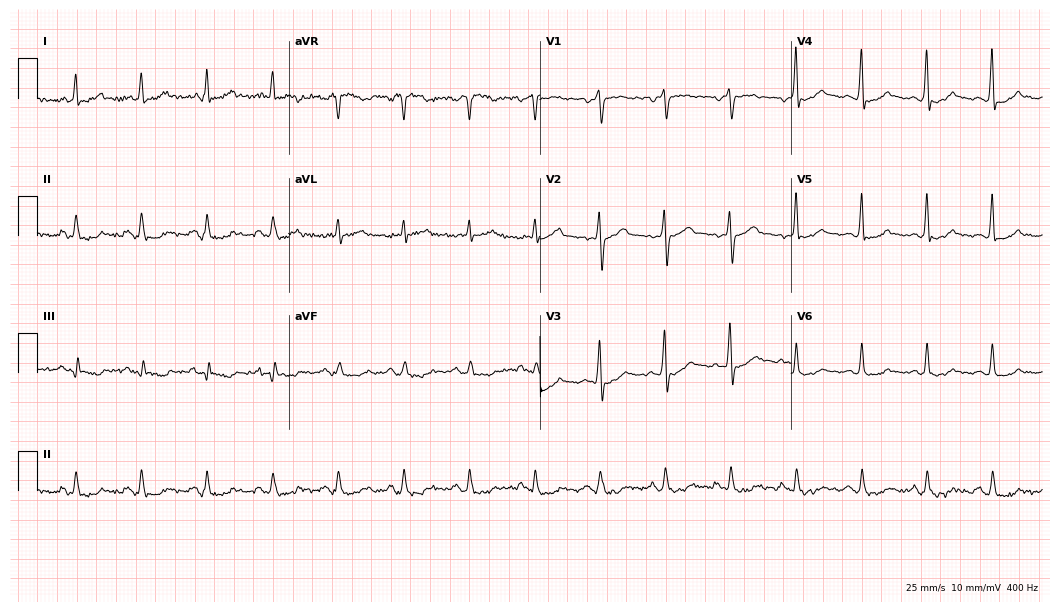
Resting 12-lead electrocardiogram (10.2-second recording at 400 Hz). Patient: a male, 42 years old. The tracing shows atrial fibrillation (AF).